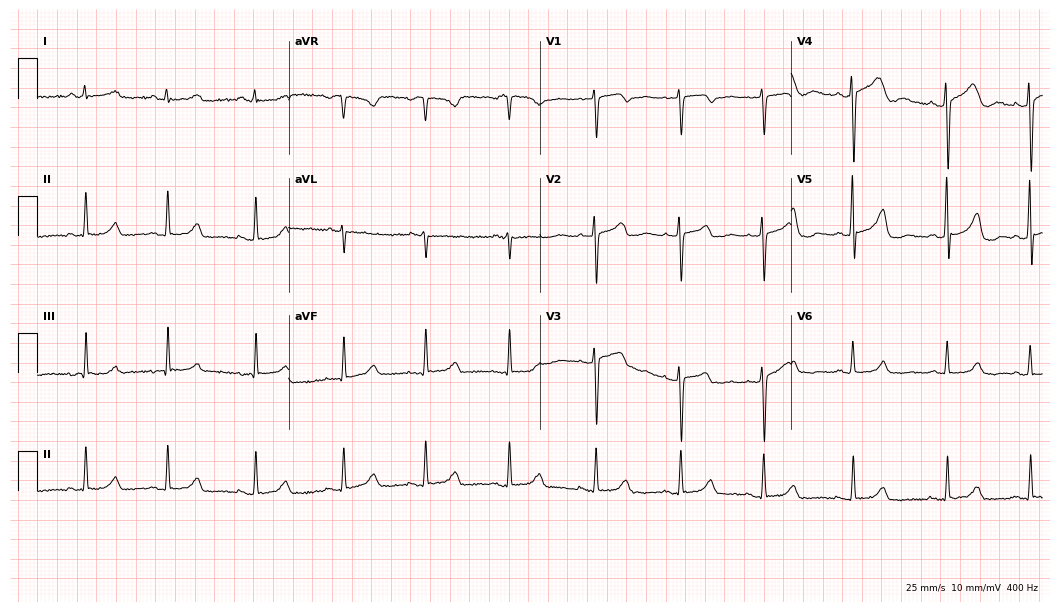
Standard 12-lead ECG recorded from a 39-year-old woman. Read as a normal ECG.